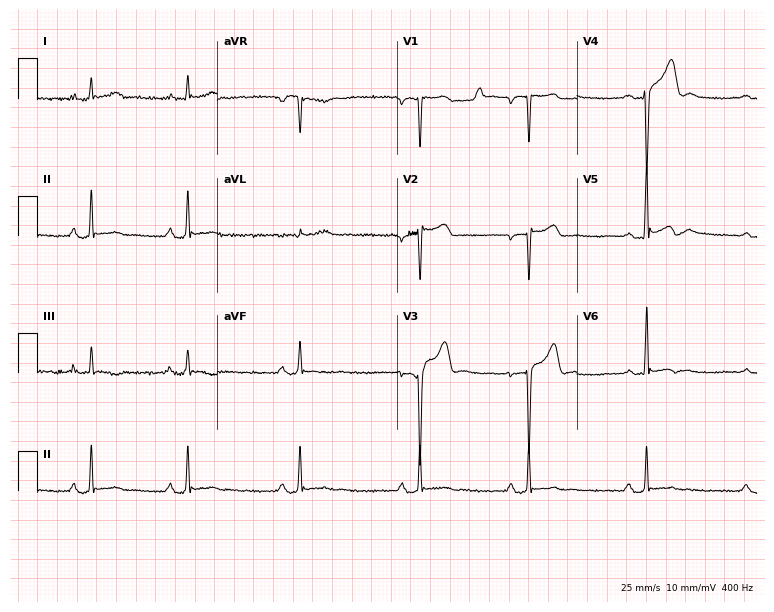
Resting 12-lead electrocardiogram. Patient: a 21-year-old male. Read as a normal ECG.